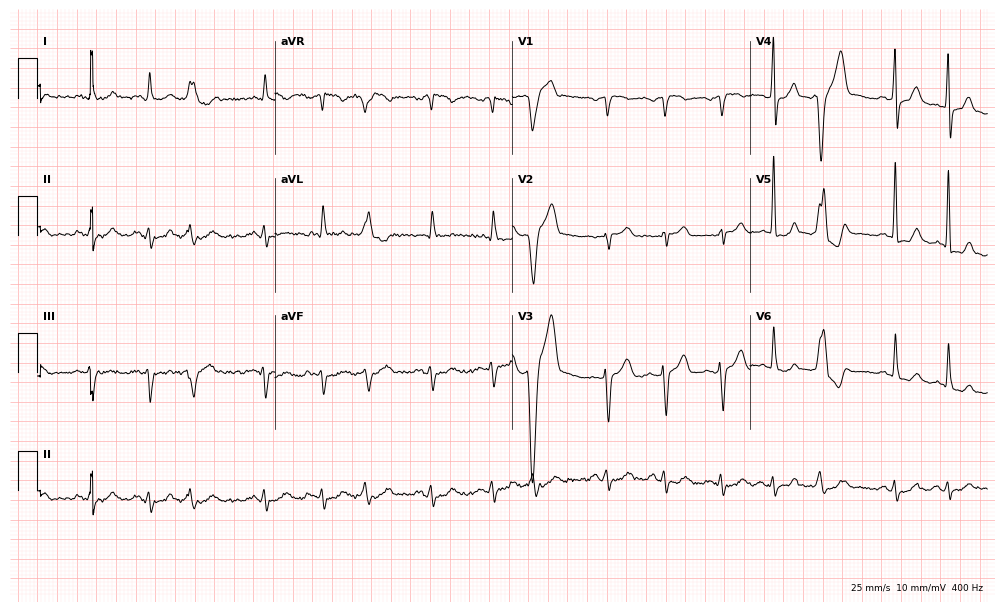
ECG — a 78-year-old man. Findings include sinus tachycardia (a sinus rate of 100 beats per minute or more).